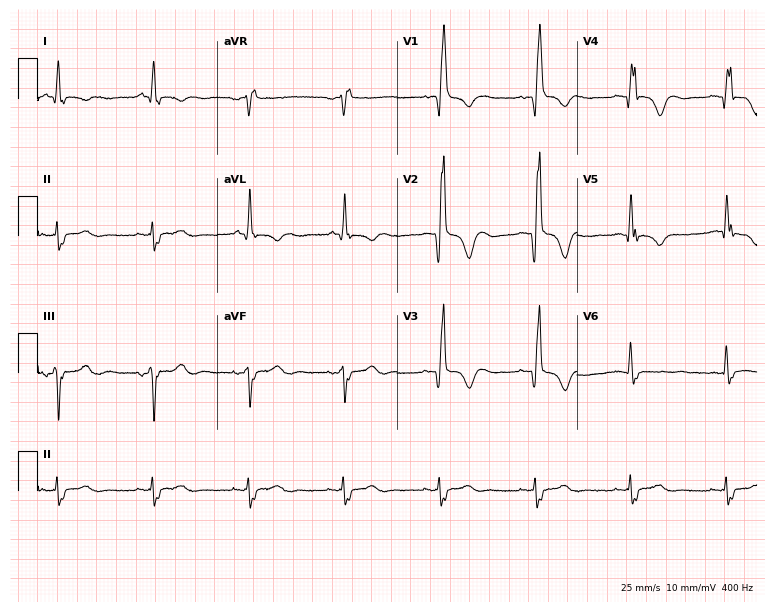
12-lead ECG (7.3-second recording at 400 Hz) from an 85-year-old female patient. Findings include right bundle branch block.